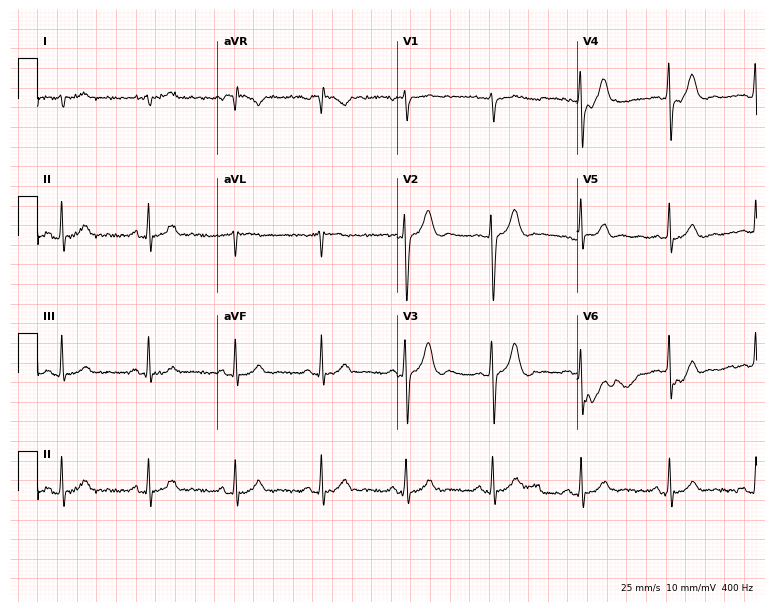
Electrocardiogram, a male patient, 41 years old. Overall reading on record: normal ECG.